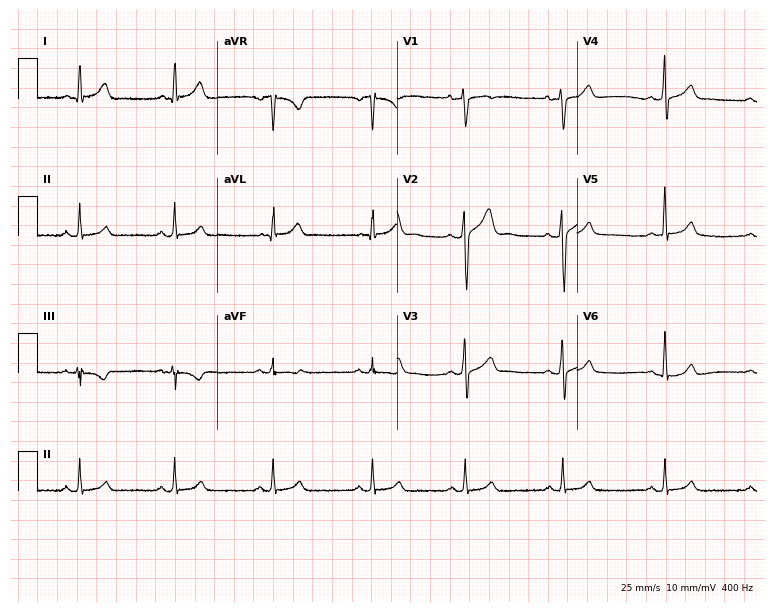
12-lead ECG from a man, 40 years old. Labelled as a normal ECG.